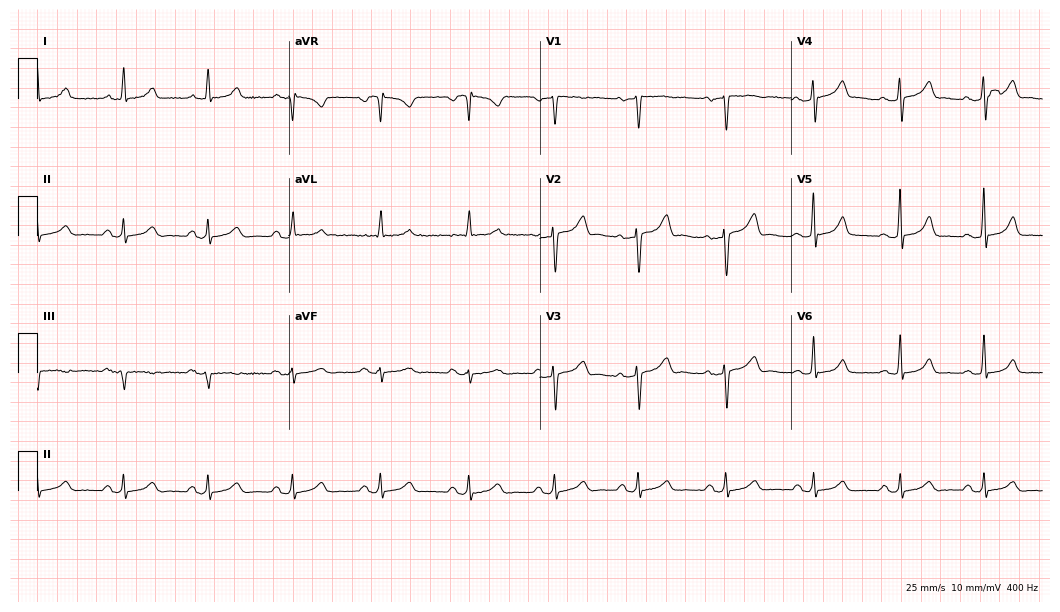
Resting 12-lead electrocardiogram (10.2-second recording at 400 Hz). Patient: a 47-year-old woman. Read as a normal ECG.